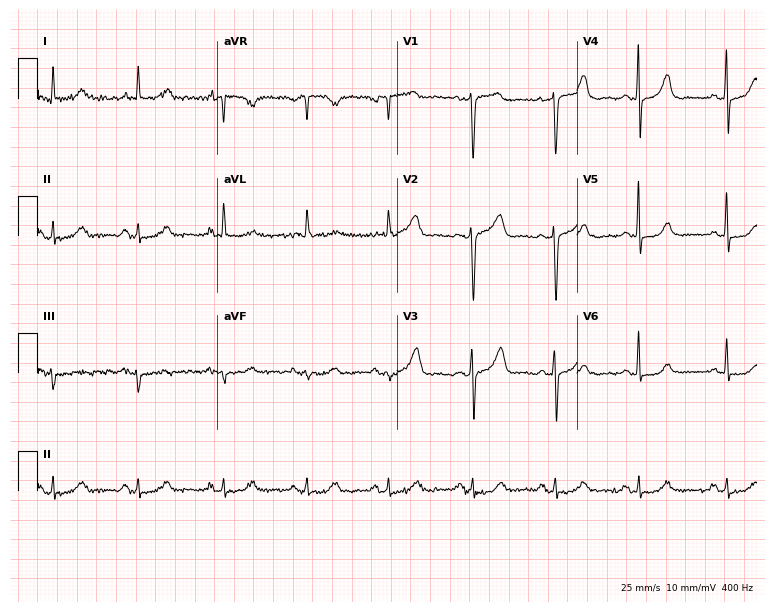
Electrocardiogram, a 73-year-old female patient. Of the six screened findings (first-degree AV block, right bundle branch block (RBBB), left bundle branch block (LBBB), sinus bradycardia, atrial fibrillation (AF), sinus tachycardia), none is recorded.